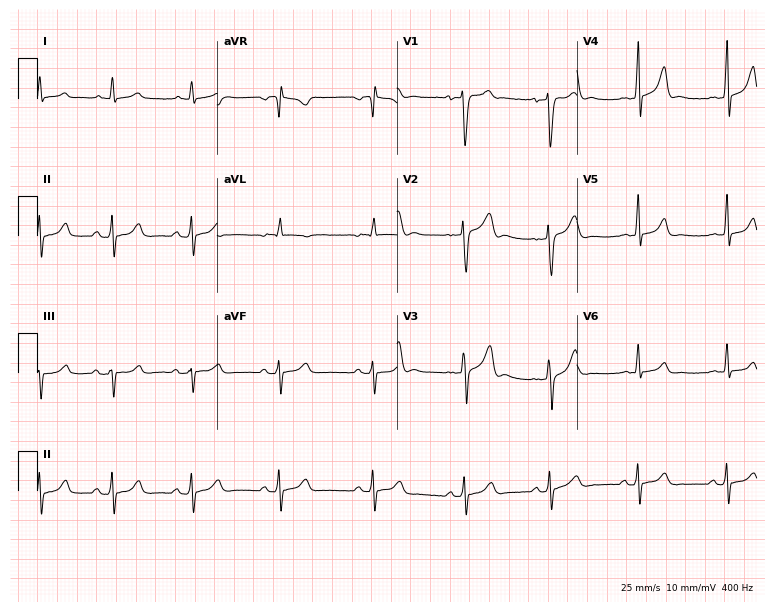
ECG — a man, 20 years old. Screened for six findings — first-degree AV block, right bundle branch block, left bundle branch block, sinus bradycardia, atrial fibrillation, sinus tachycardia — none is recorded.